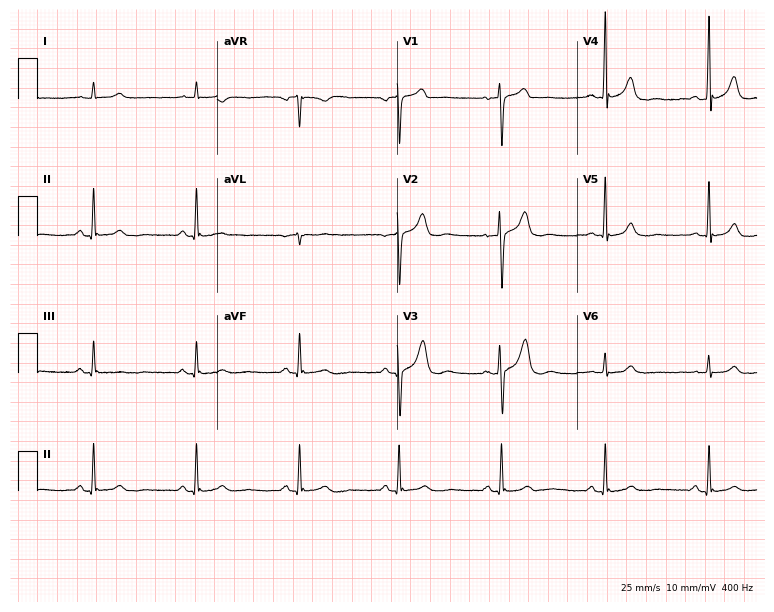
ECG (7.3-second recording at 400 Hz) — a 39-year-old male patient. Screened for six findings — first-degree AV block, right bundle branch block, left bundle branch block, sinus bradycardia, atrial fibrillation, sinus tachycardia — none is recorded.